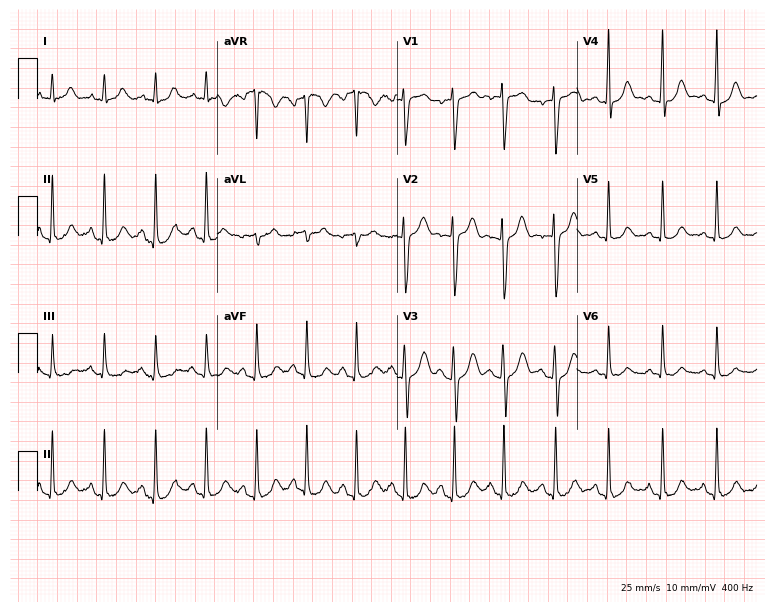
Resting 12-lead electrocardiogram (7.3-second recording at 400 Hz). Patient: an 18-year-old woman. The tracing shows sinus tachycardia (a sinus rate of 100 beats per minute or more).